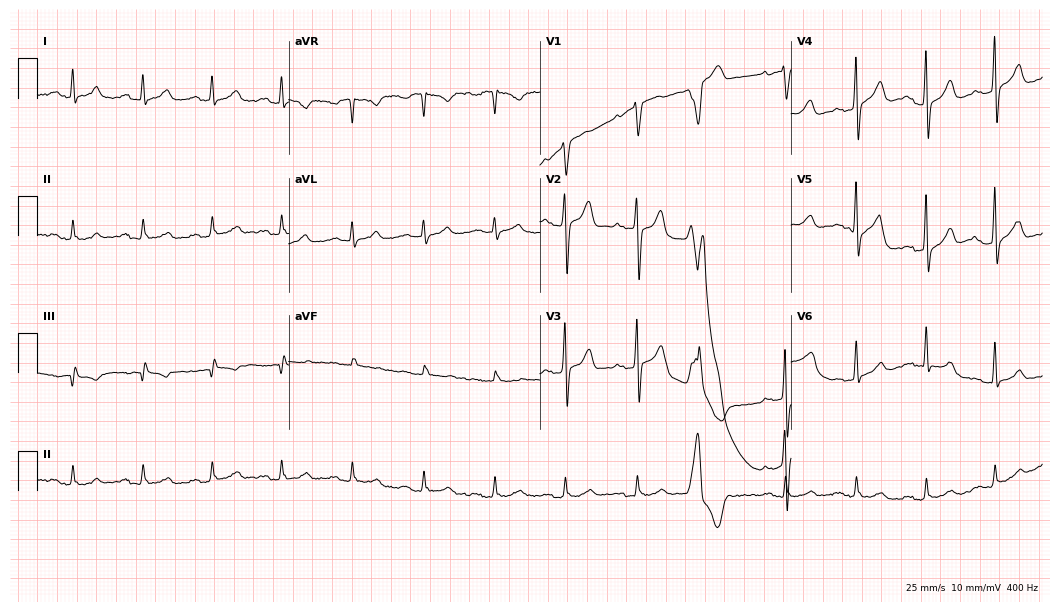
Standard 12-lead ECG recorded from a 44-year-old man. Read as a normal ECG.